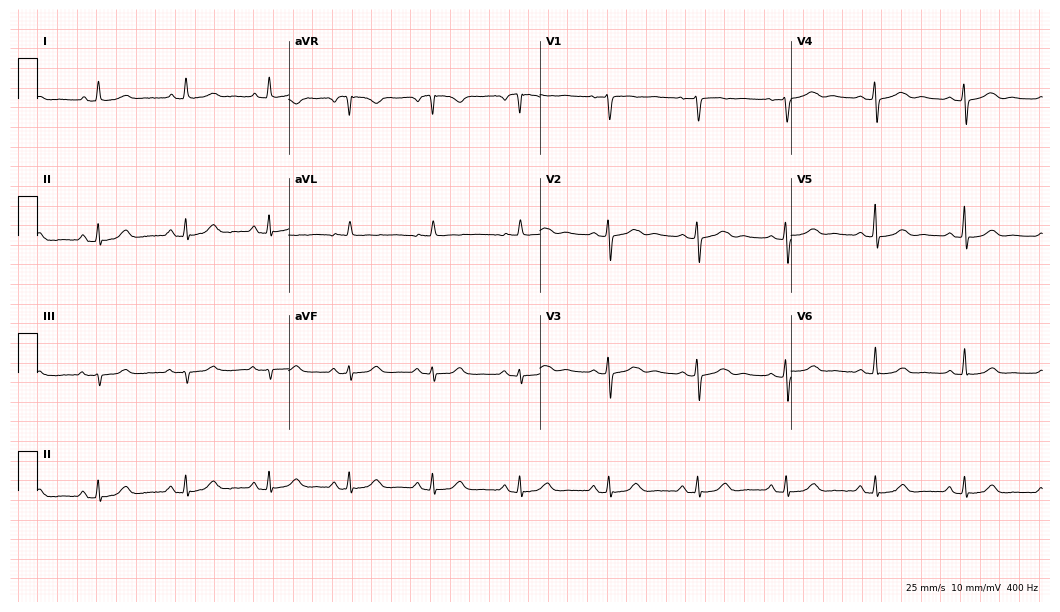
Resting 12-lead electrocardiogram (10.2-second recording at 400 Hz). Patient: a 64-year-old woman. Read as a normal ECG.